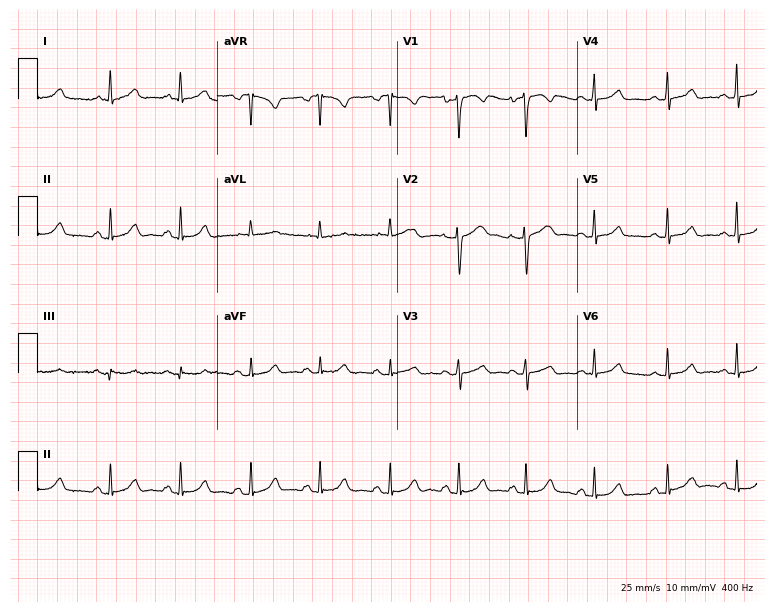
12-lead ECG from a 45-year-old woman. Labelled as a normal ECG.